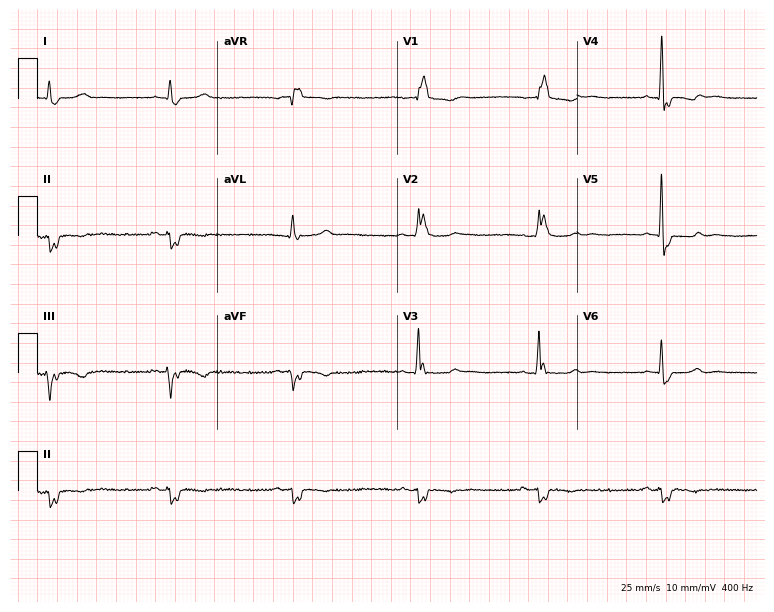
Resting 12-lead electrocardiogram. Patient: a 70-year-old man. The tracing shows right bundle branch block, sinus bradycardia (a sinus rate of 50 beats per minute or less).